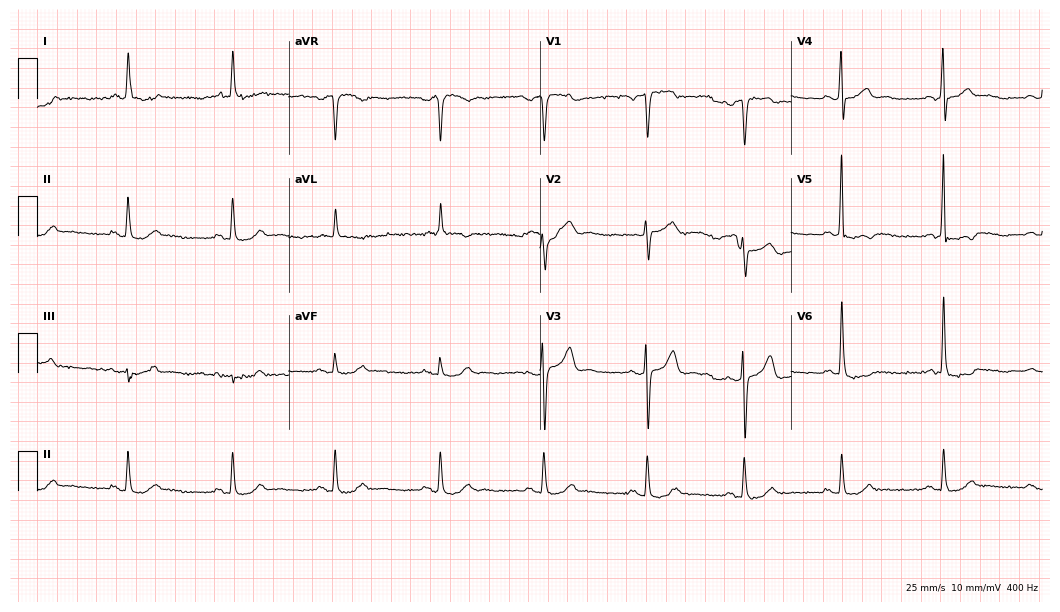
12-lead ECG from a male, 54 years old. Labelled as a normal ECG.